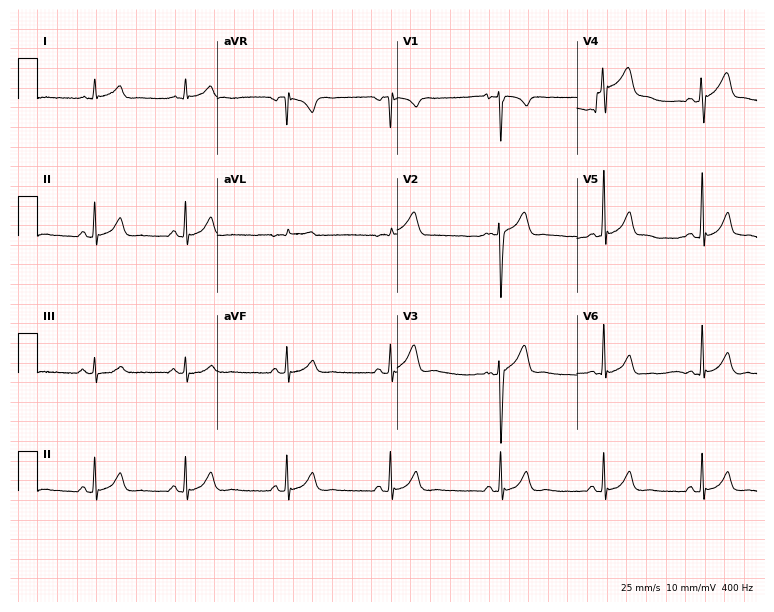
12-lead ECG from a 43-year-old man. Screened for six findings — first-degree AV block, right bundle branch block (RBBB), left bundle branch block (LBBB), sinus bradycardia, atrial fibrillation (AF), sinus tachycardia — none is recorded.